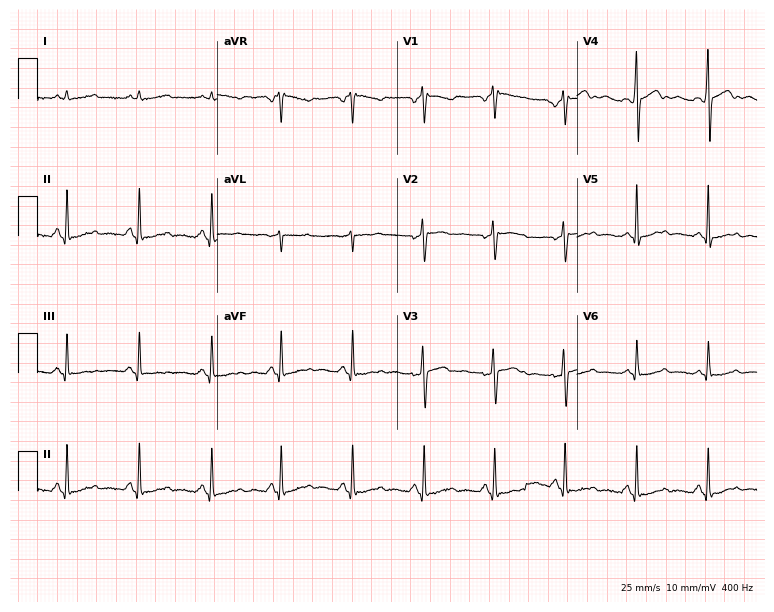
Standard 12-lead ECG recorded from a woman, 46 years old (7.3-second recording at 400 Hz). Read as a normal ECG.